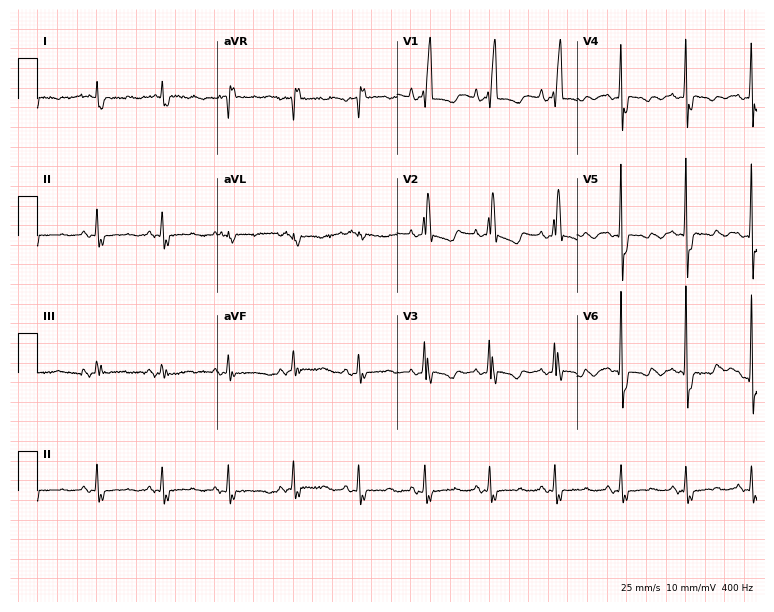
12-lead ECG from an 81-year-old woman (7.3-second recording at 400 Hz). Shows right bundle branch block (RBBB).